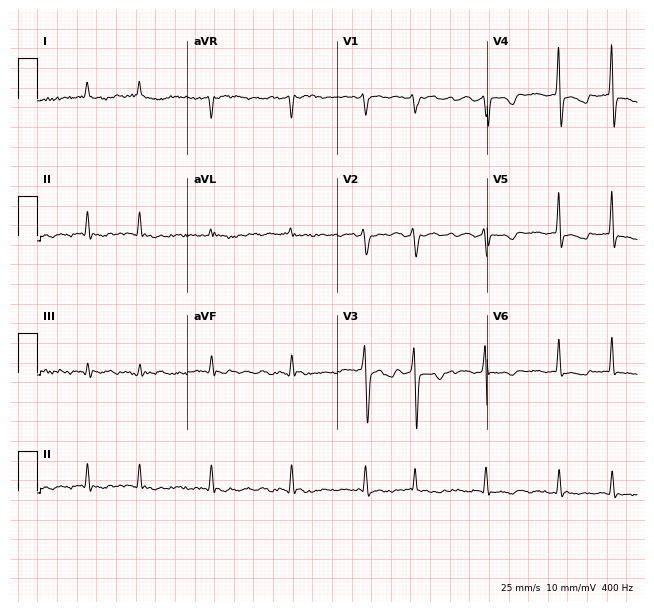
12-lead ECG from a 72-year-old female patient. Findings include atrial fibrillation.